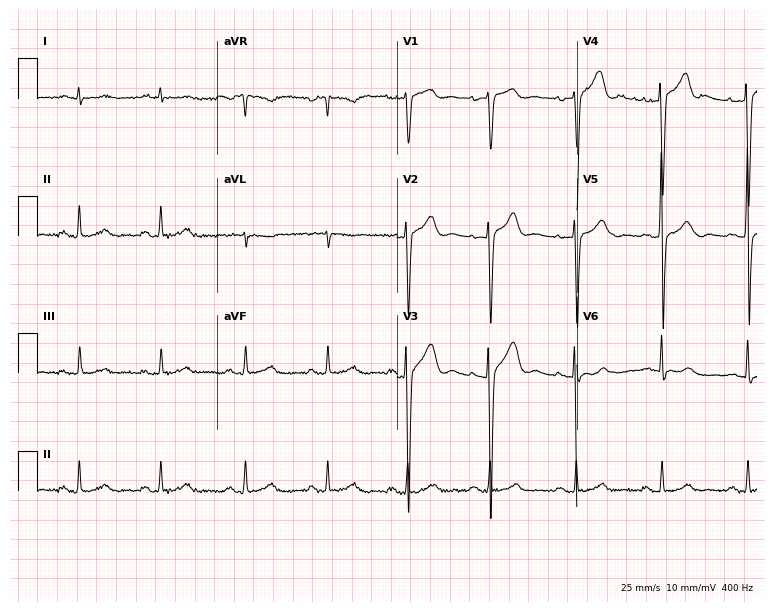
Standard 12-lead ECG recorded from a 36-year-old man (7.3-second recording at 400 Hz). None of these six findings is recorded: first-degree AV block, right bundle branch block, left bundle branch block, sinus bradycardia, atrial fibrillation, sinus tachycardia. Findings outside these six are not listed.